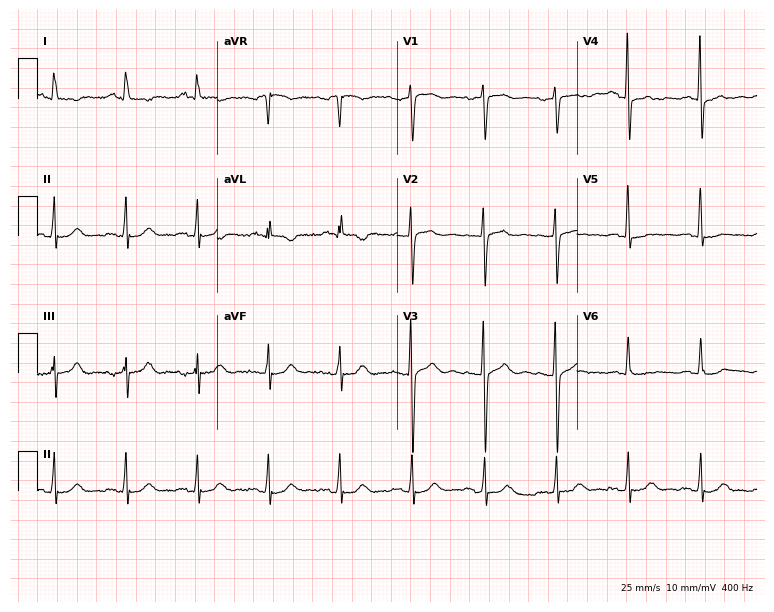
Resting 12-lead electrocardiogram (7.3-second recording at 400 Hz). Patient: a female, 70 years old. Read as a normal ECG.